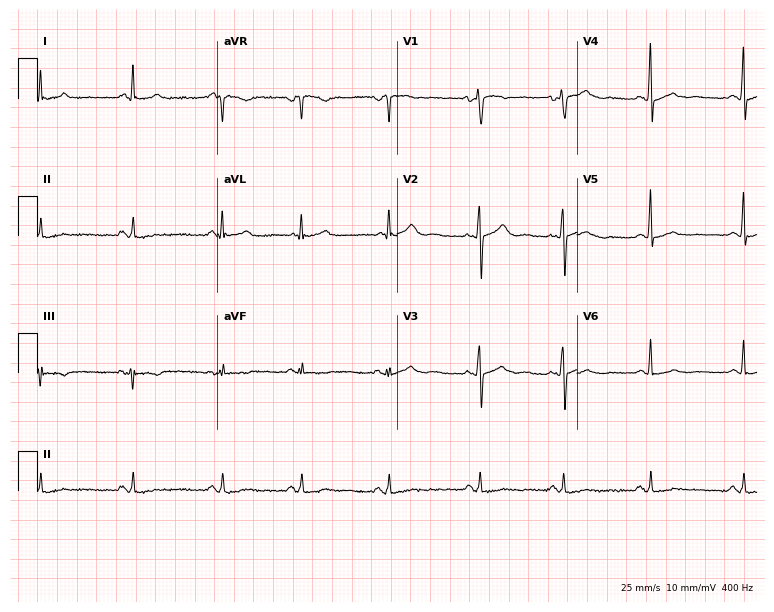
Resting 12-lead electrocardiogram. Patient: a woman, 47 years old. None of these six findings is recorded: first-degree AV block, right bundle branch block (RBBB), left bundle branch block (LBBB), sinus bradycardia, atrial fibrillation (AF), sinus tachycardia. Findings outside these six are not listed.